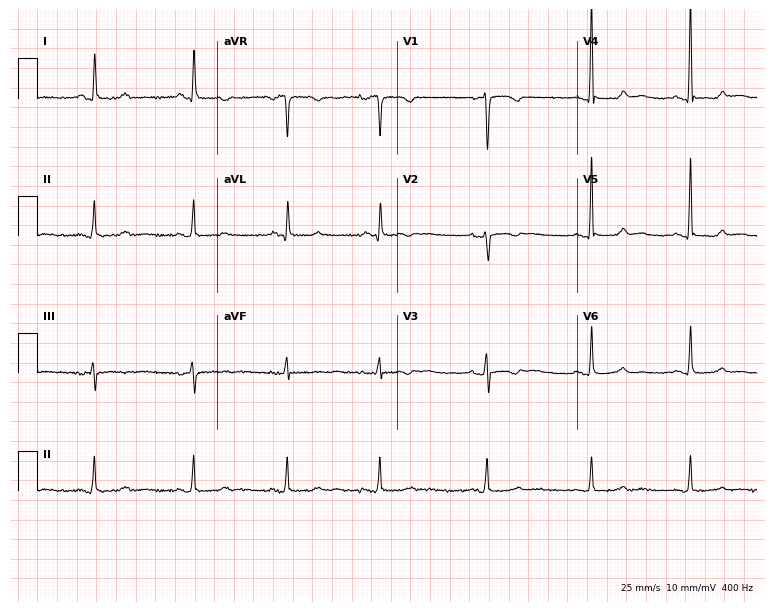
ECG (7.3-second recording at 400 Hz) — a 65-year-old female patient. Screened for six findings — first-degree AV block, right bundle branch block (RBBB), left bundle branch block (LBBB), sinus bradycardia, atrial fibrillation (AF), sinus tachycardia — none is recorded. Findings outside these six are not listed.